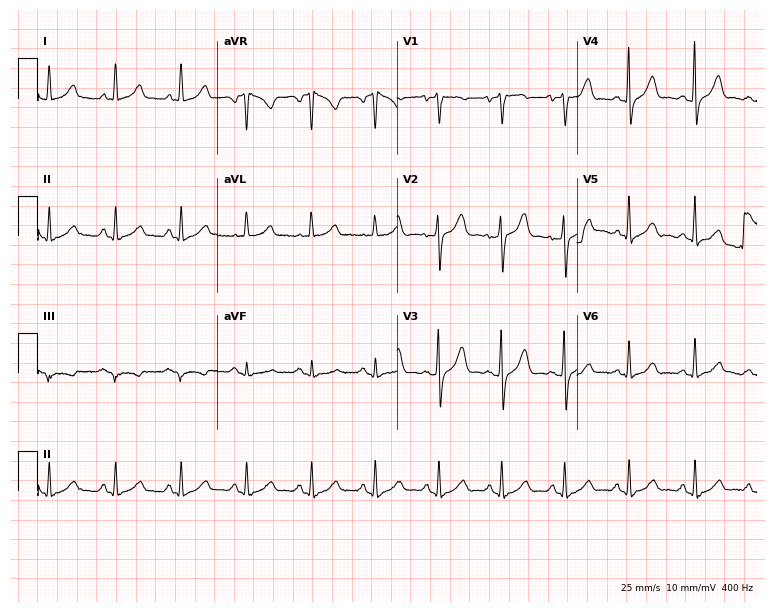
Electrocardiogram (7.3-second recording at 400 Hz), a 56-year-old female. Overall reading on record: normal ECG.